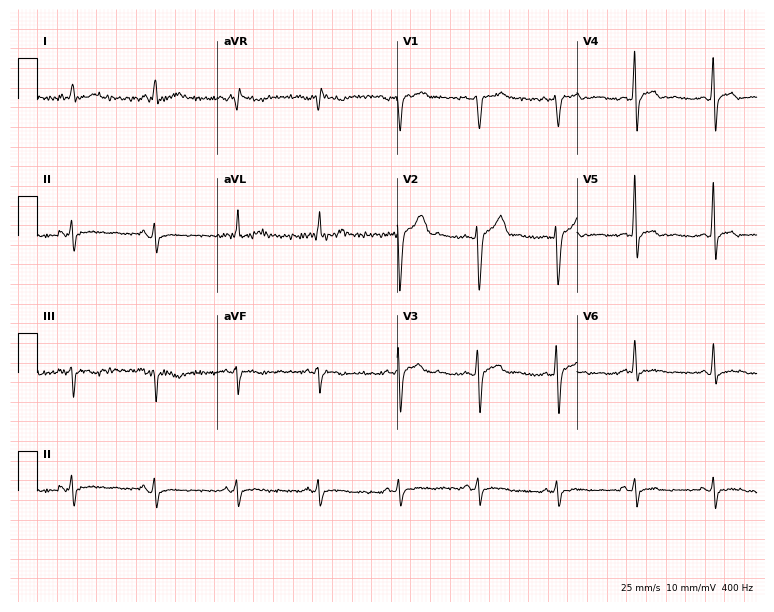
Resting 12-lead electrocardiogram. Patient: a 35-year-old male. None of these six findings is recorded: first-degree AV block, right bundle branch block, left bundle branch block, sinus bradycardia, atrial fibrillation, sinus tachycardia. Other findings, if any, are not listed.